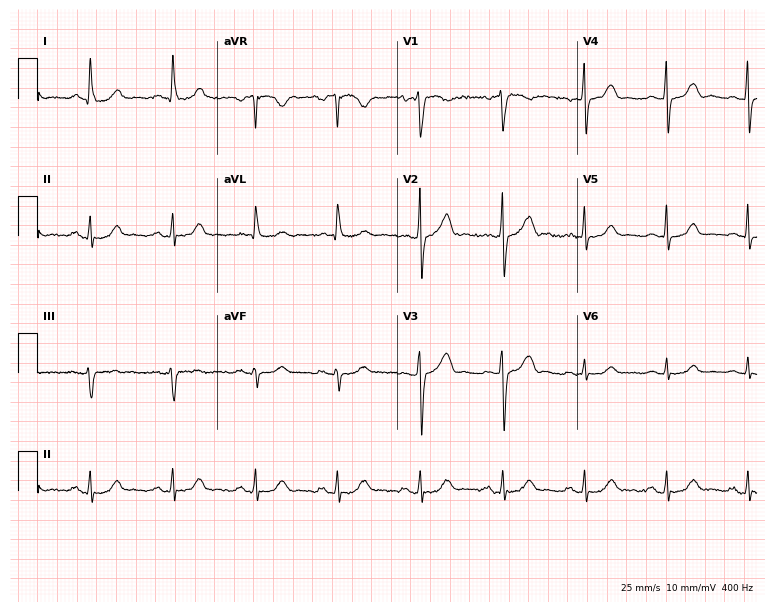
Electrocardiogram, a woman, 76 years old. Overall reading on record: normal ECG.